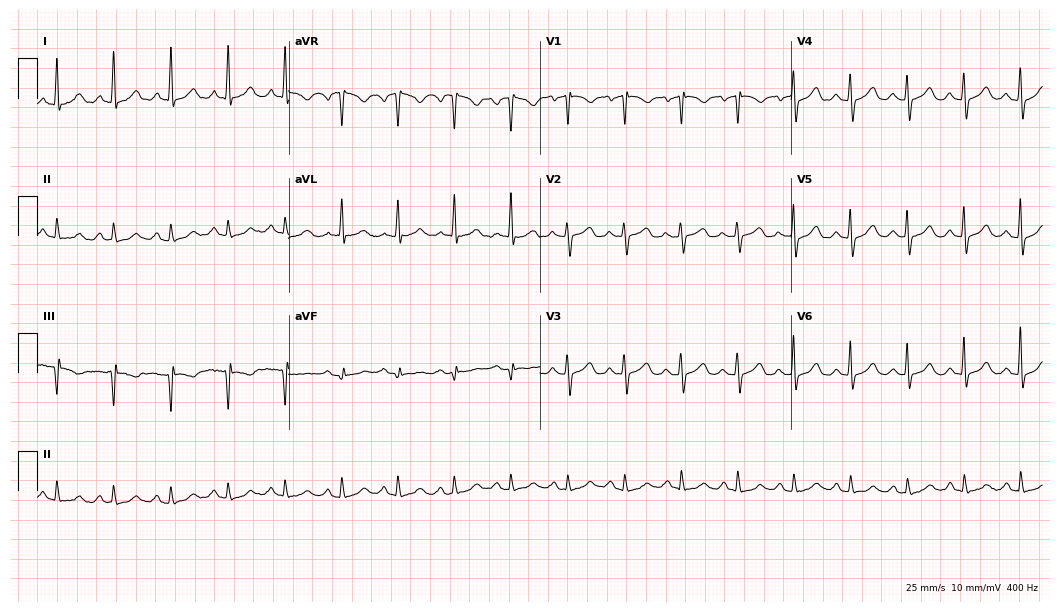
12-lead ECG from a female patient, 80 years old (10.2-second recording at 400 Hz). No first-degree AV block, right bundle branch block (RBBB), left bundle branch block (LBBB), sinus bradycardia, atrial fibrillation (AF) or sinus tachycardia recorded for this tracing.